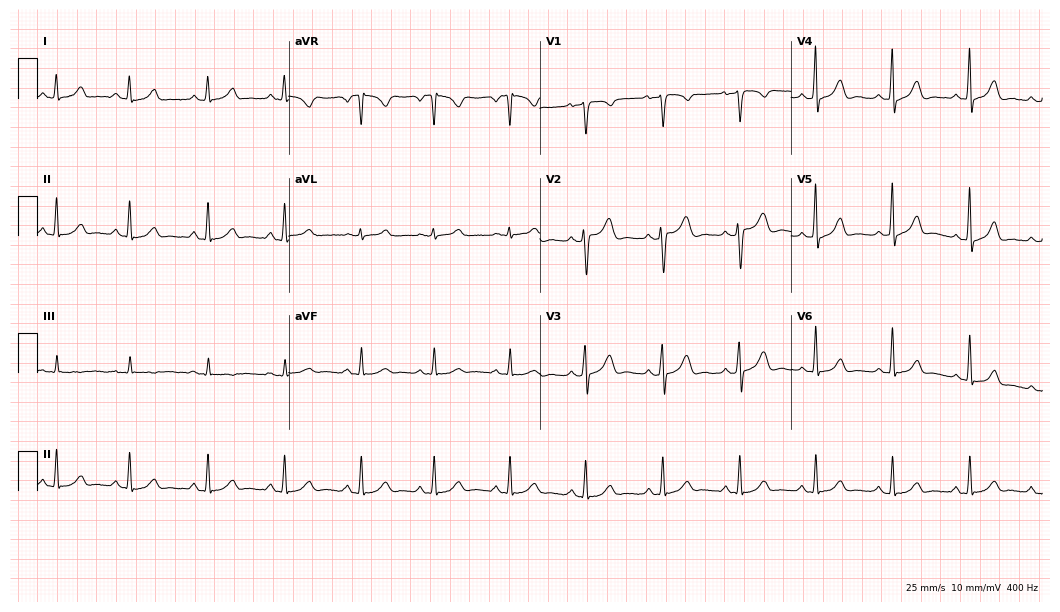
ECG (10.2-second recording at 400 Hz) — a 46-year-old woman. Labelled as a normal ECG.